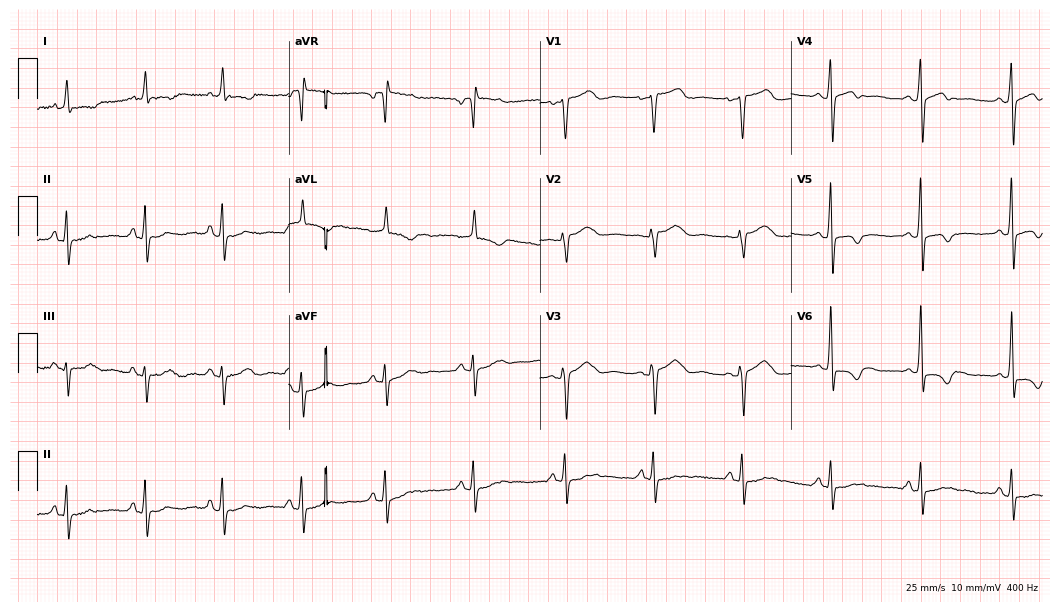
ECG (10.2-second recording at 400 Hz) — a female patient, 76 years old. Screened for six findings — first-degree AV block, right bundle branch block (RBBB), left bundle branch block (LBBB), sinus bradycardia, atrial fibrillation (AF), sinus tachycardia — none is recorded. Findings outside these six are not listed.